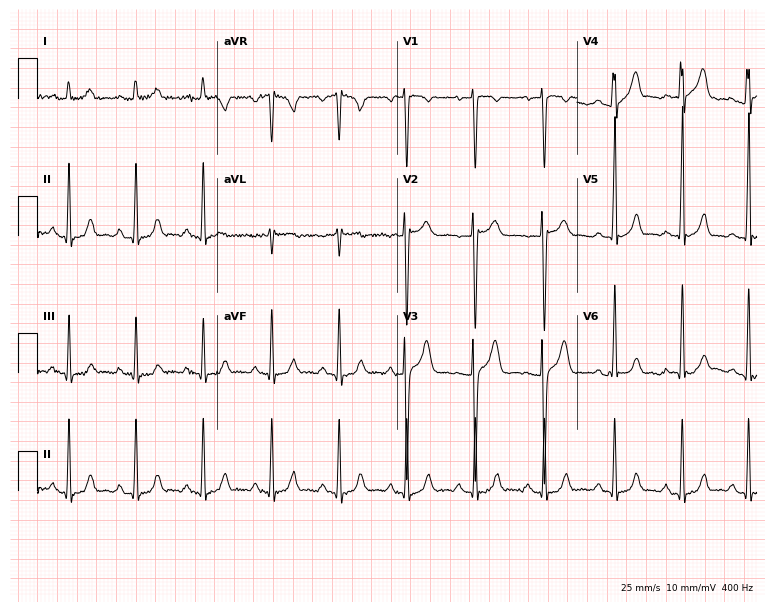
ECG — a male, 20 years old. Screened for six findings — first-degree AV block, right bundle branch block (RBBB), left bundle branch block (LBBB), sinus bradycardia, atrial fibrillation (AF), sinus tachycardia — none is recorded.